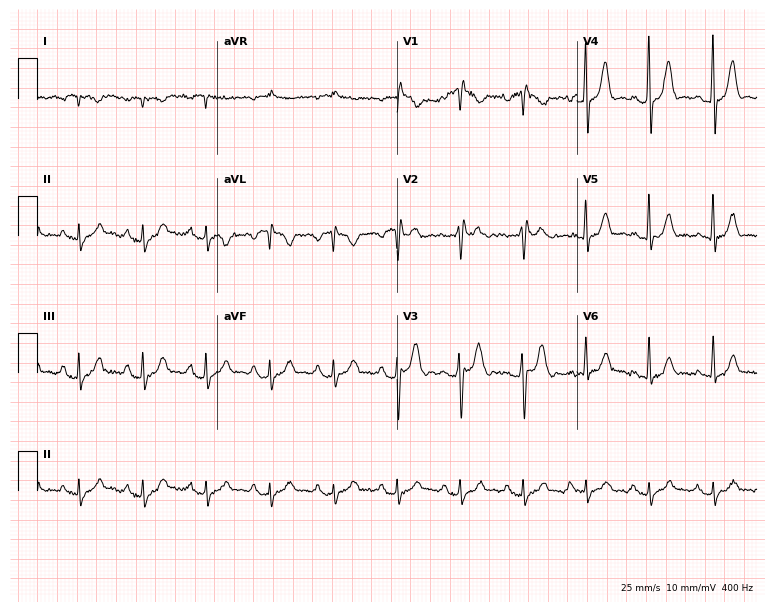
12-lead ECG from a male, 68 years old. Labelled as a normal ECG.